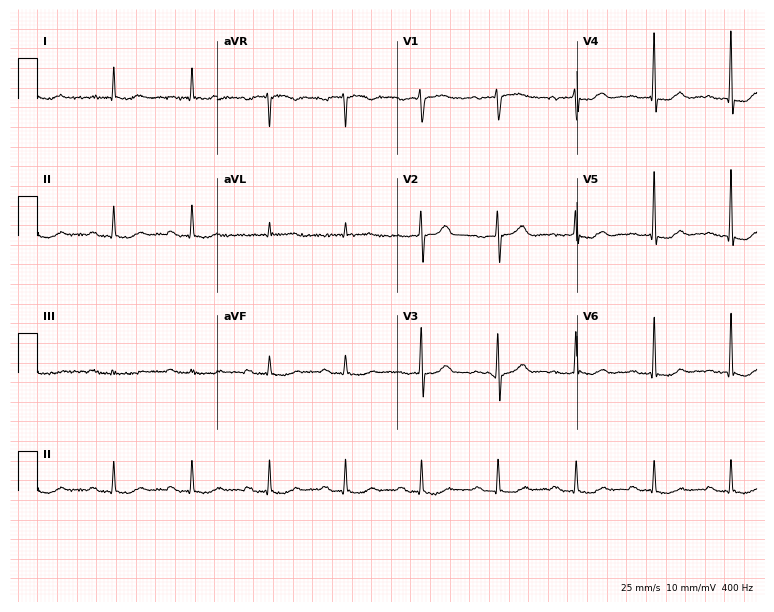
ECG (7.3-second recording at 400 Hz) — a man, 72 years old. Findings include first-degree AV block.